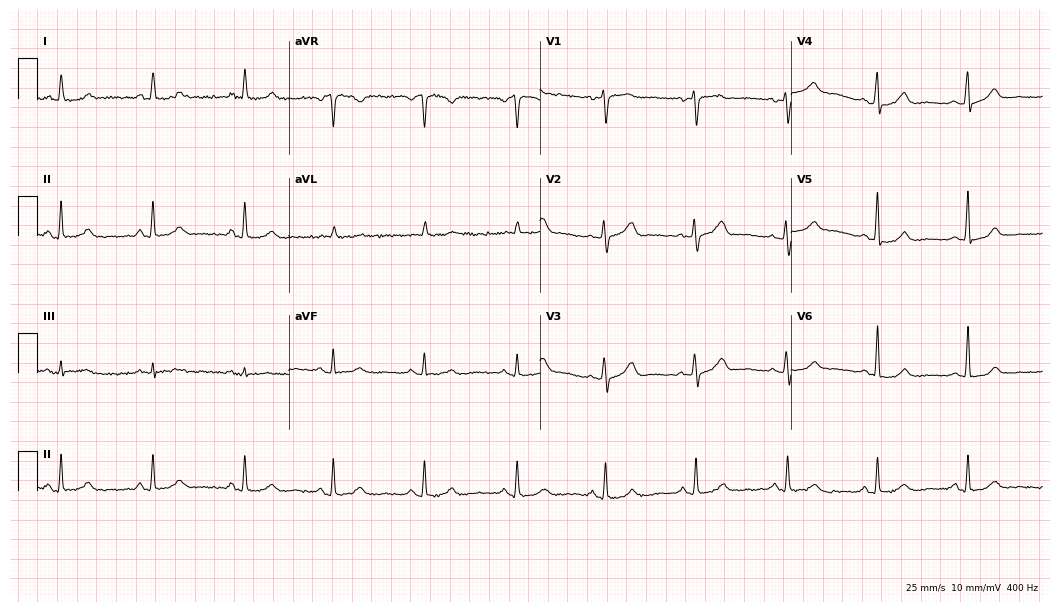
Electrocardiogram (10.2-second recording at 400 Hz), a 55-year-old female. Overall reading on record: normal ECG.